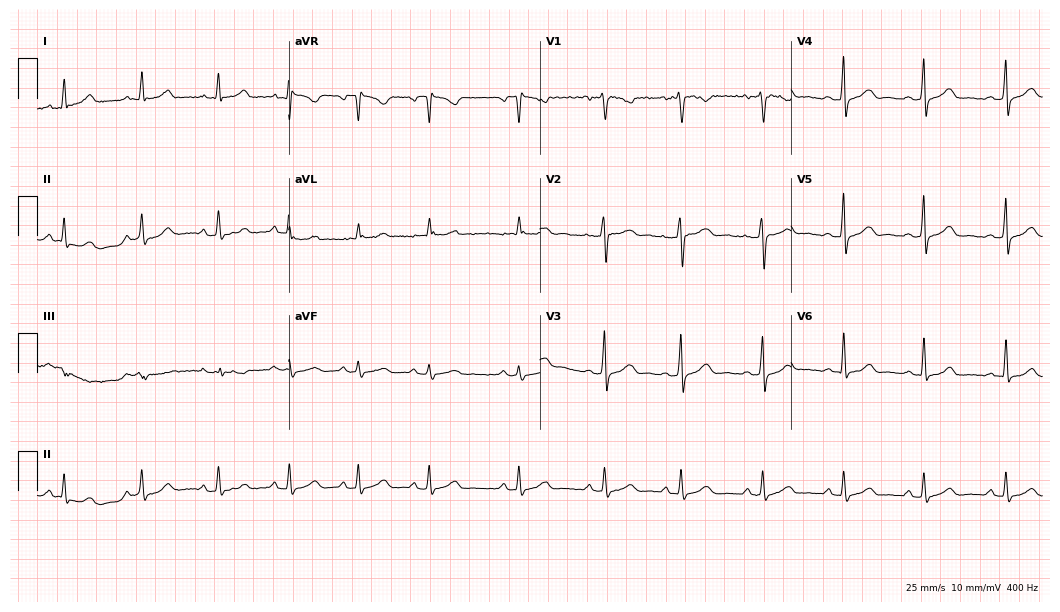
ECG (10.2-second recording at 400 Hz) — a female patient, 37 years old. Labelled as a normal ECG.